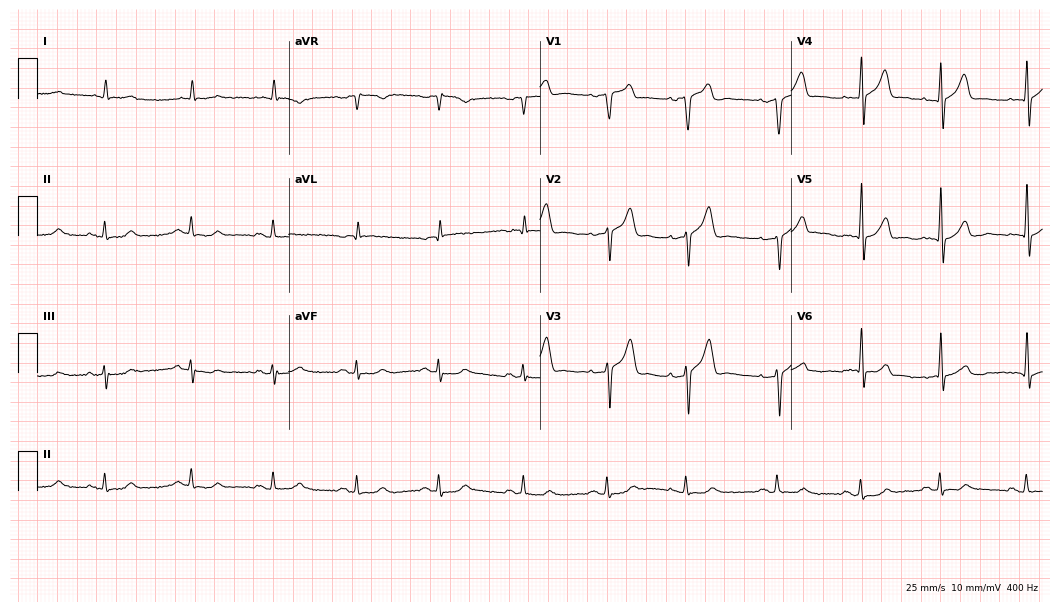
Resting 12-lead electrocardiogram. Patient: a male, 84 years old. None of these six findings is recorded: first-degree AV block, right bundle branch block, left bundle branch block, sinus bradycardia, atrial fibrillation, sinus tachycardia.